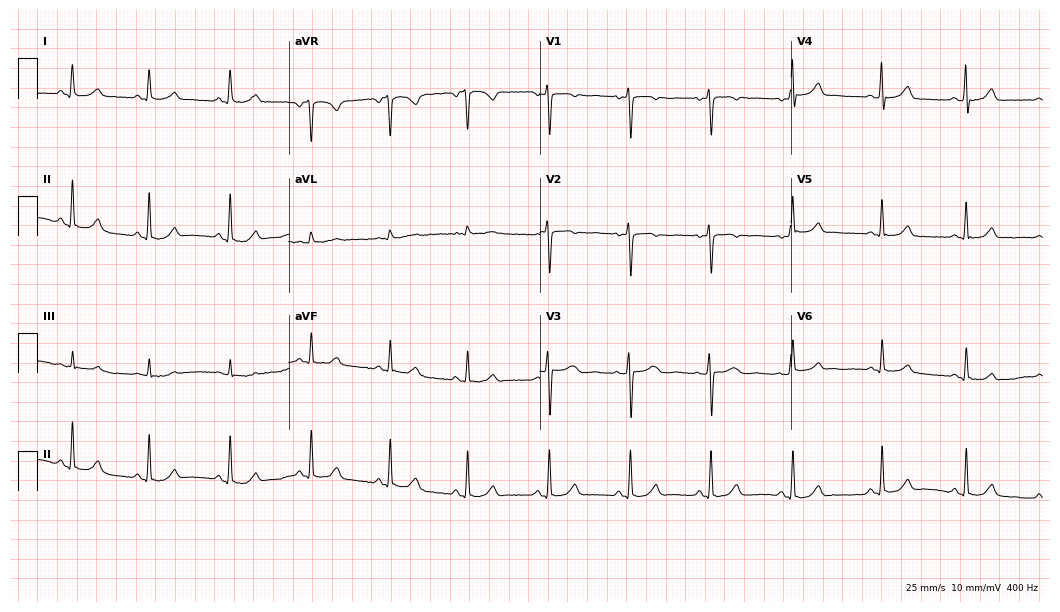
12-lead ECG from a female patient, 21 years old. Labelled as a normal ECG.